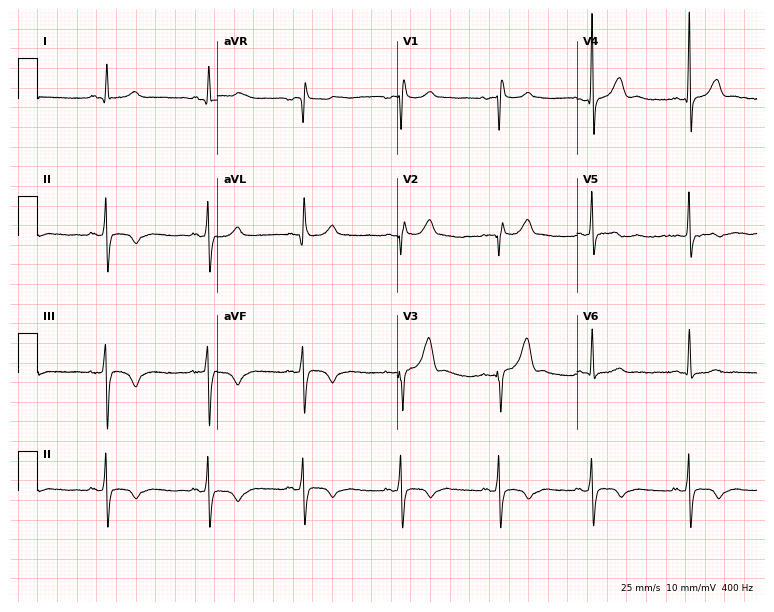
Resting 12-lead electrocardiogram (7.3-second recording at 400 Hz). Patient: a 24-year-old male. None of these six findings is recorded: first-degree AV block, right bundle branch block, left bundle branch block, sinus bradycardia, atrial fibrillation, sinus tachycardia. Findings outside these six are not listed.